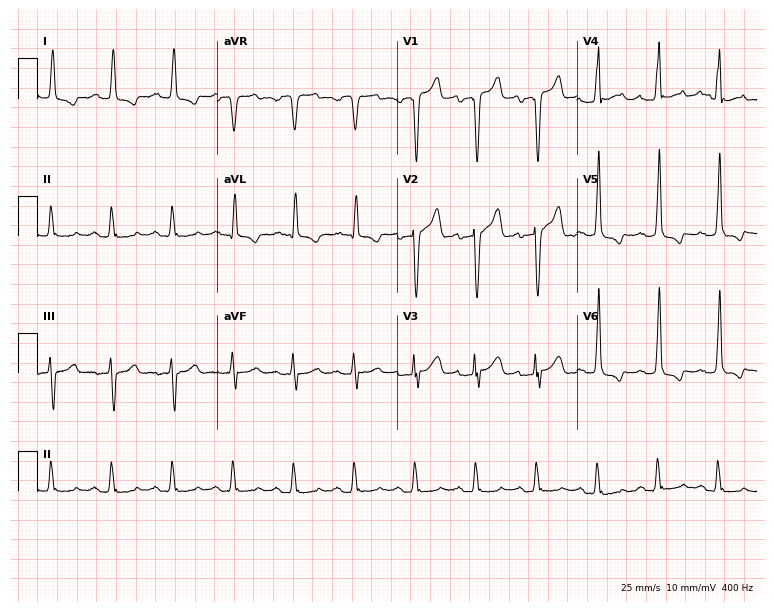
12-lead ECG (7.3-second recording at 400 Hz) from a male, 44 years old. Screened for six findings — first-degree AV block, right bundle branch block, left bundle branch block, sinus bradycardia, atrial fibrillation, sinus tachycardia — none is recorded.